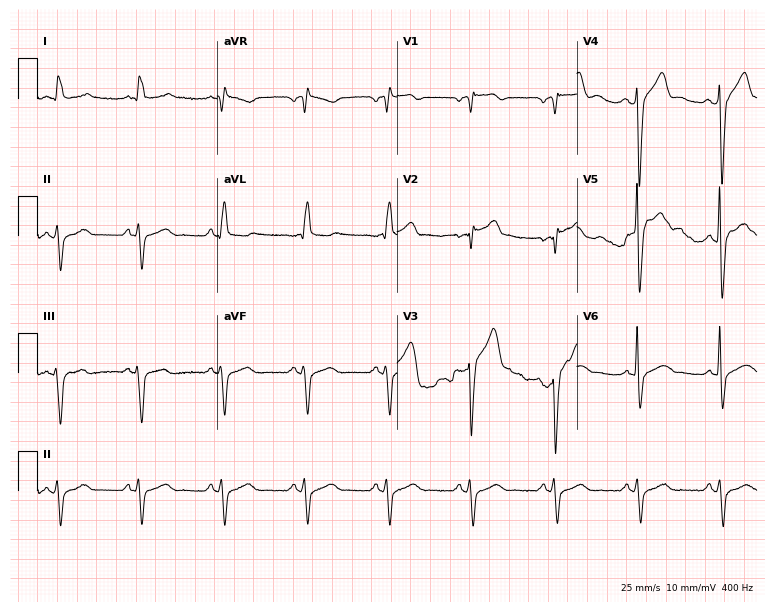
Electrocardiogram (7.3-second recording at 400 Hz), a 74-year-old male patient. Of the six screened findings (first-degree AV block, right bundle branch block, left bundle branch block, sinus bradycardia, atrial fibrillation, sinus tachycardia), none is recorded.